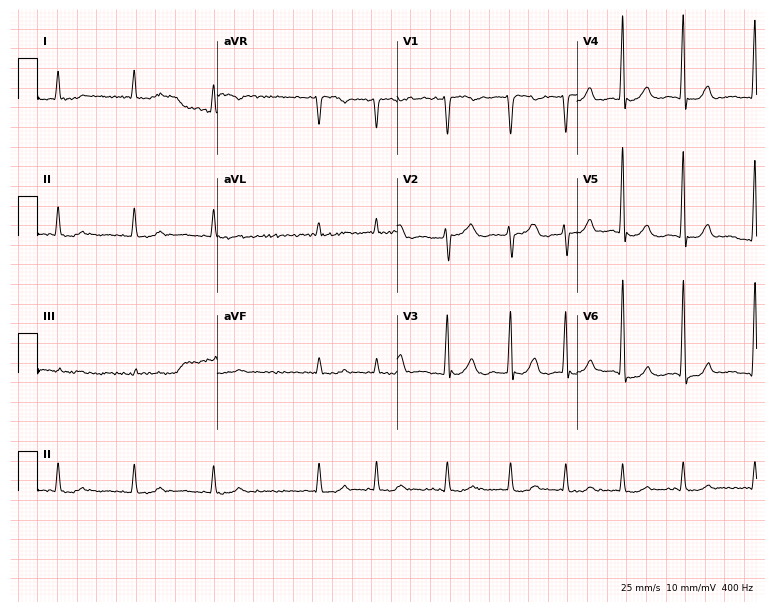
Resting 12-lead electrocardiogram (7.3-second recording at 400 Hz). Patient: a male, 83 years old. The tracing shows atrial fibrillation.